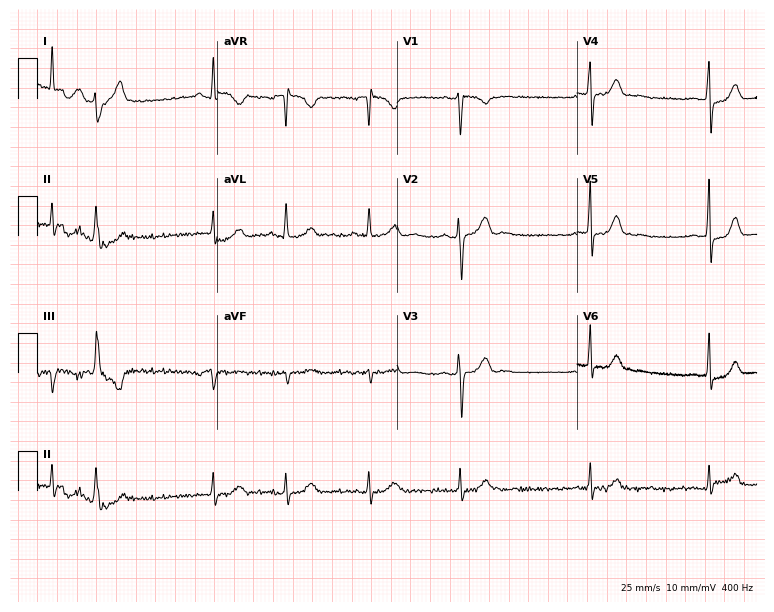
Standard 12-lead ECG recorded from a man, 62 years old (7.3-second recording at 400 Hz). None of these six findings is recorded: first-degree AV block, right bundle branch block (RBBB), left bundle branch block (LBBB), sinus bradycardia, atrial fibrillation (AF), sinus tachycardia. Findings outside these six are not listed.